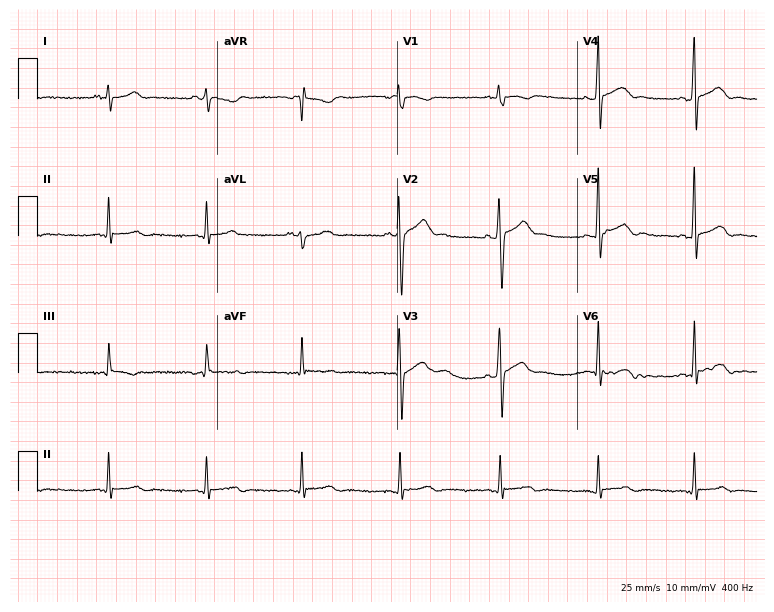
ECG (7.3-second recording at 400 Hz) — a 26-year-old male. Labelled as a normal ECG.